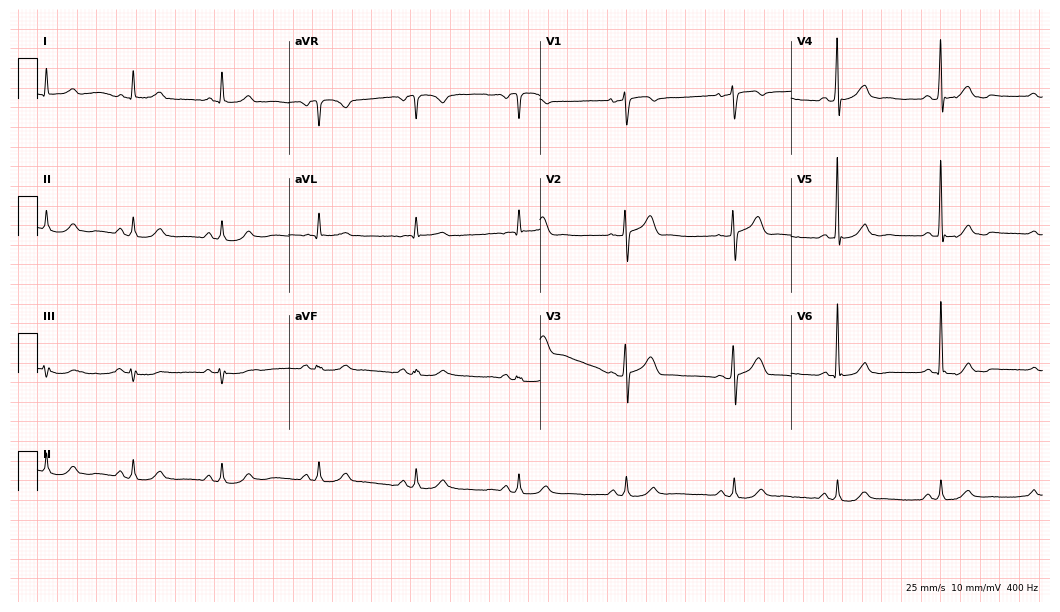
ECG (10.2-second recording at 400 Hz) — a male patient, 66 years old. Labelled as a normal ECG.